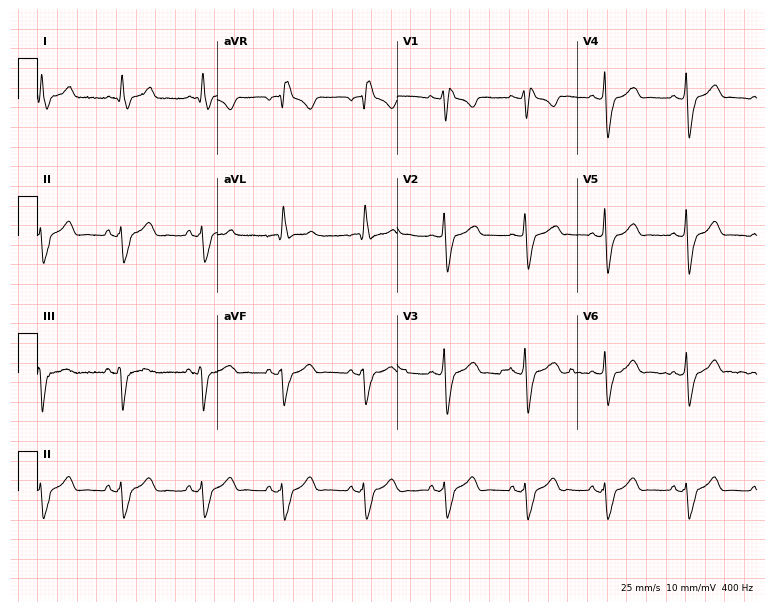
Electrocardiogram (7.3-second recording at 400 Hz), a female patient, 34 years old. Interpretation includes right bundle branch block.